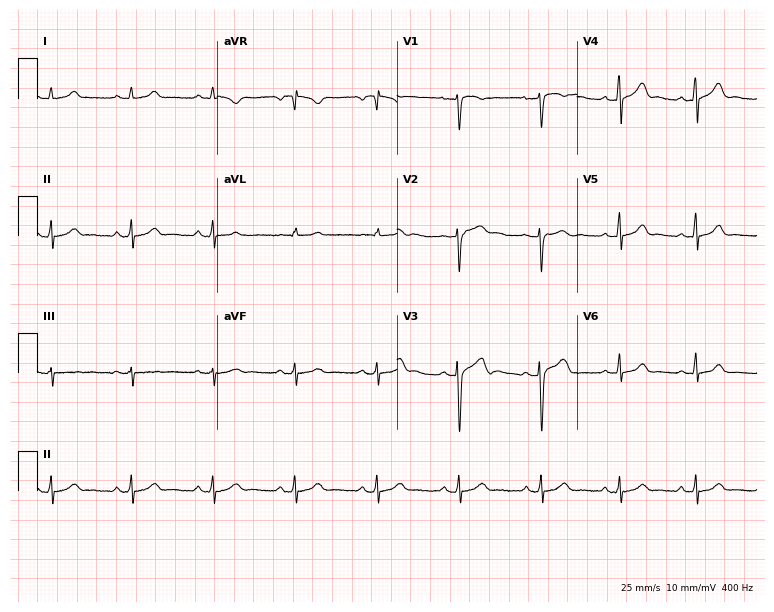
Electrocardiogram, a 25-year-old female patient. Of the six screened findings (first-degree AV block, right bundle branch block (RBBB), left bundle branch block (LBBB), sinus bradycardia, atrial fibrillation (AF), sinus tachycardia), none is recorded. Only these six findings were labelled.